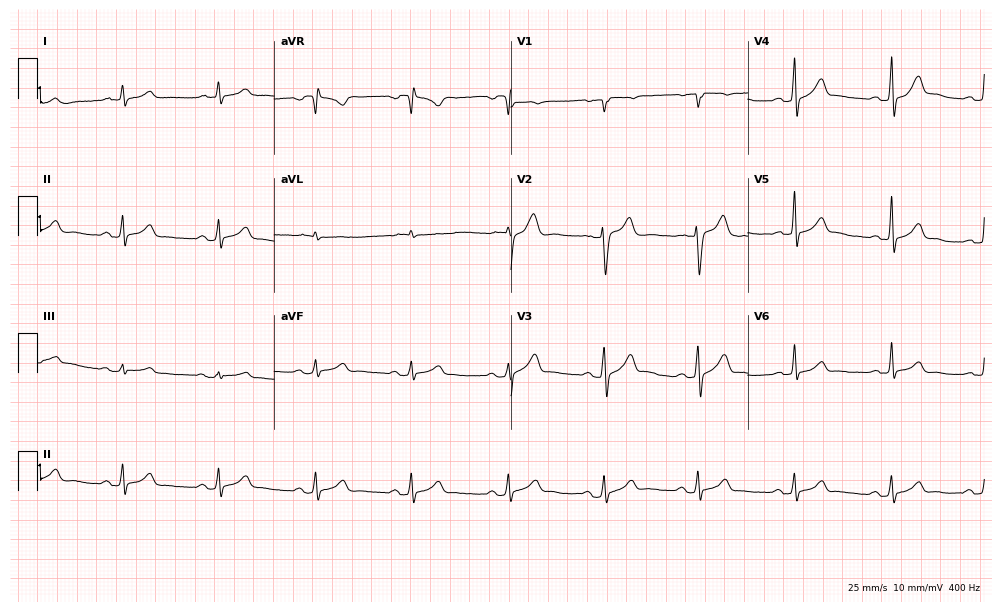
Electrocardiogram (9.7-second recording at 400 Hz), a male patient, 42 years old. Overall reading on record: normal ECG.